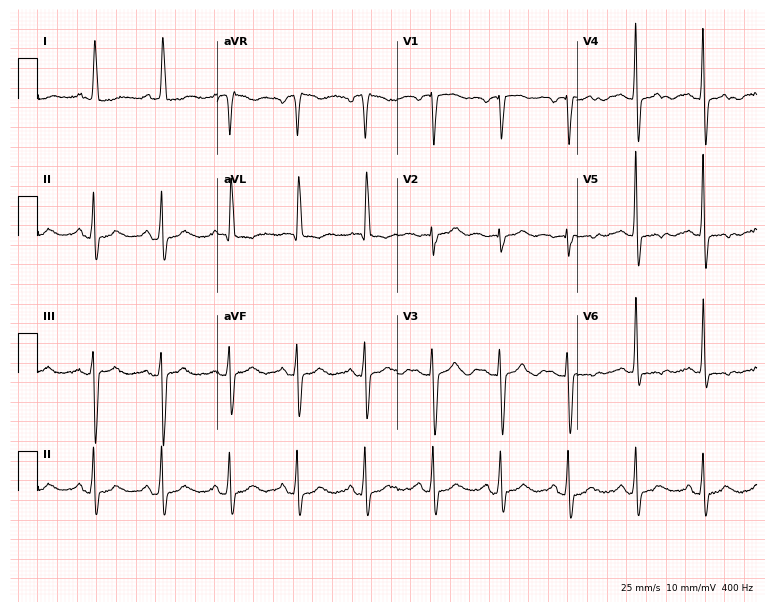
12-lead ECG from a woman, 73 years old. No first-degree AV block, right bundle branch block (RBBB), left bundle branch block (LBBB), sinus bradycardia, atrial fibrillation (AF) or sinus tachycardia recorded for this tracing. Other findings, if any, are not listed.